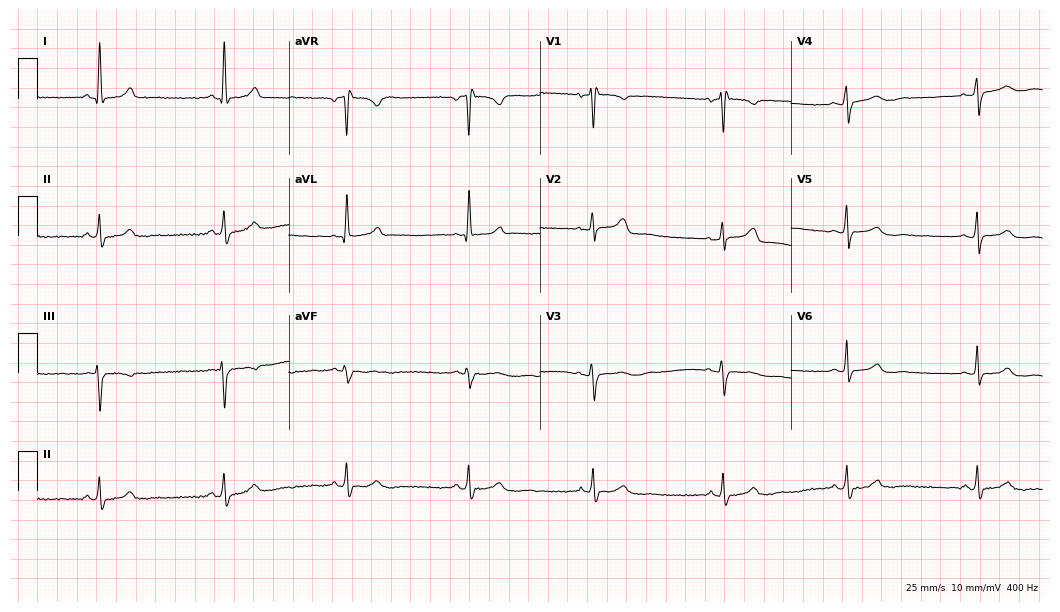
Standard 12-lead ECG recorded from a 50-year-old woman. None of these six findings is recorded: first-degree AV block, right bundle branch block (RBBB), left bundle branch block (LBBB), sinus bradycardia, atrial fibrillation (AF), sinus tachycardia.